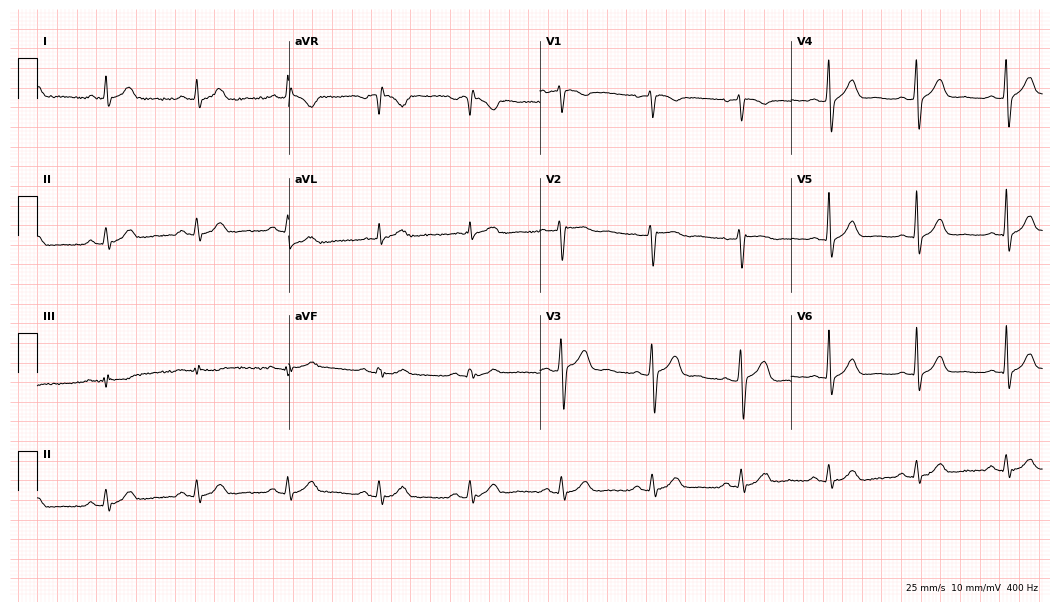
Resting 12-lead electrocardiogram (10.2-second recording at 400 Hz). Patient: a man, 41 years old. None of these six findings is recorded: first-degree AV block, right bundle branch block, left bundle branch block, sinus bradycardia, atrial fibrillation, sinus tachycardia. Other findings, if any, are not listed.